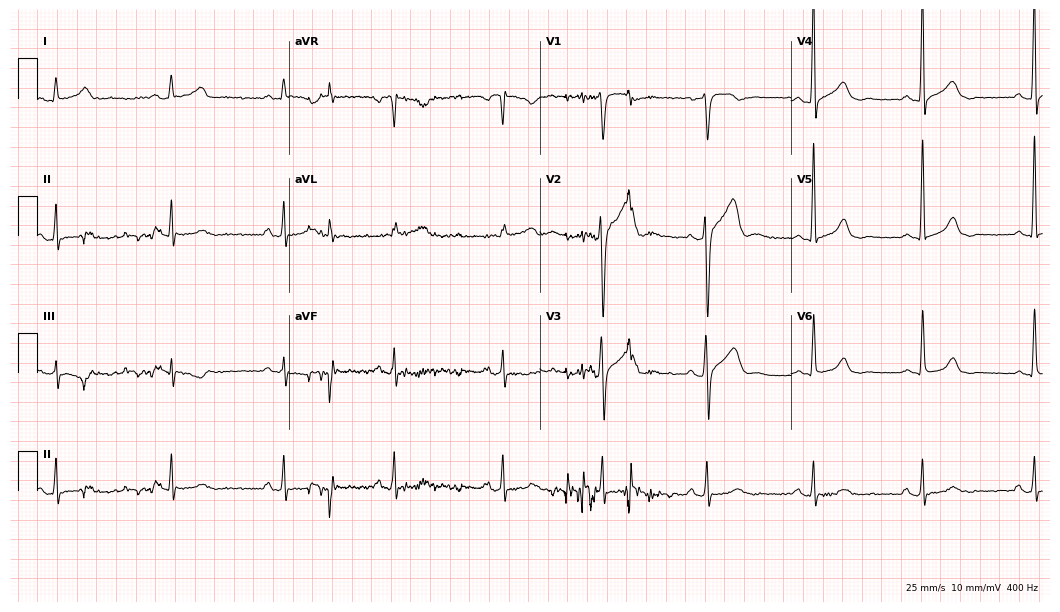
12-lead ECG from a 57-year-old male. No first-degree AV block, right bundle branch block (RBBB), left bundle branch block (LBBB), sinus bradycardia, atrial fibrillation (AF) or sinus tachycardia recorded for this tracing. Other findings, if any, are not listed.